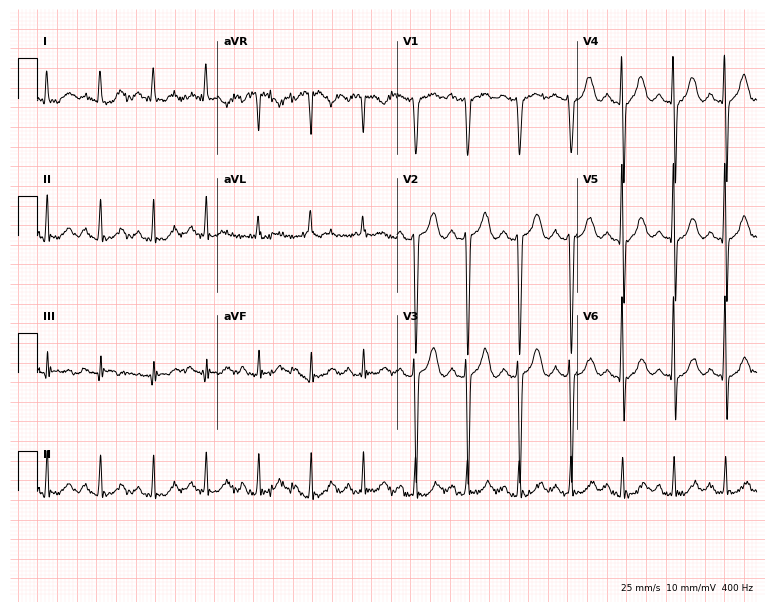
Resting 12-lead electrocardiogram (7.3-second recording at 400 Hz). Patient: a 64-year-old man. The tracing shows sinus tachycardia (a sinus rate of 100 beats per minute or more).